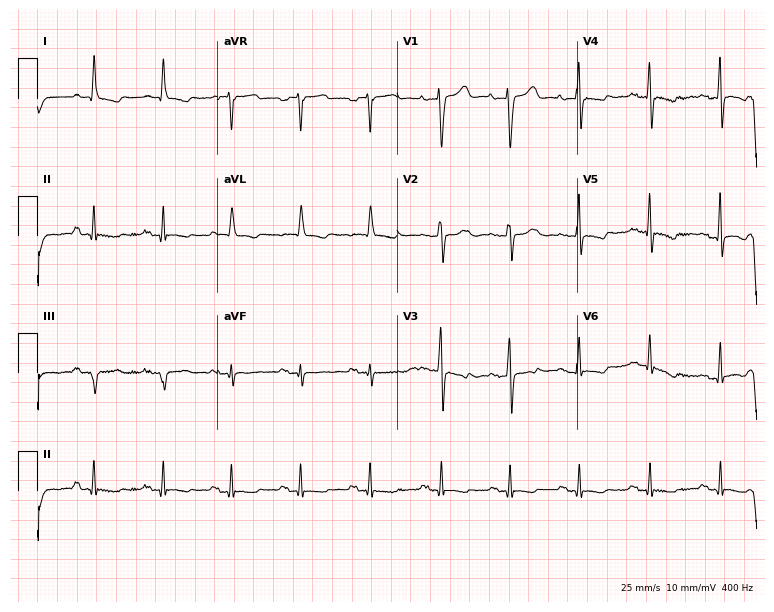
12-lead ECG (7.3-second recording at 400 Hz) from a male, 78 years old. Screened for six findings — first-degree AV block, right bundle branch block (RBBB), left bundle branch block (LBBB), sinus bradycardia, atrial fibrillation (AF), sinus tachycardia — none is recorded. Findings outside these six are not listed.